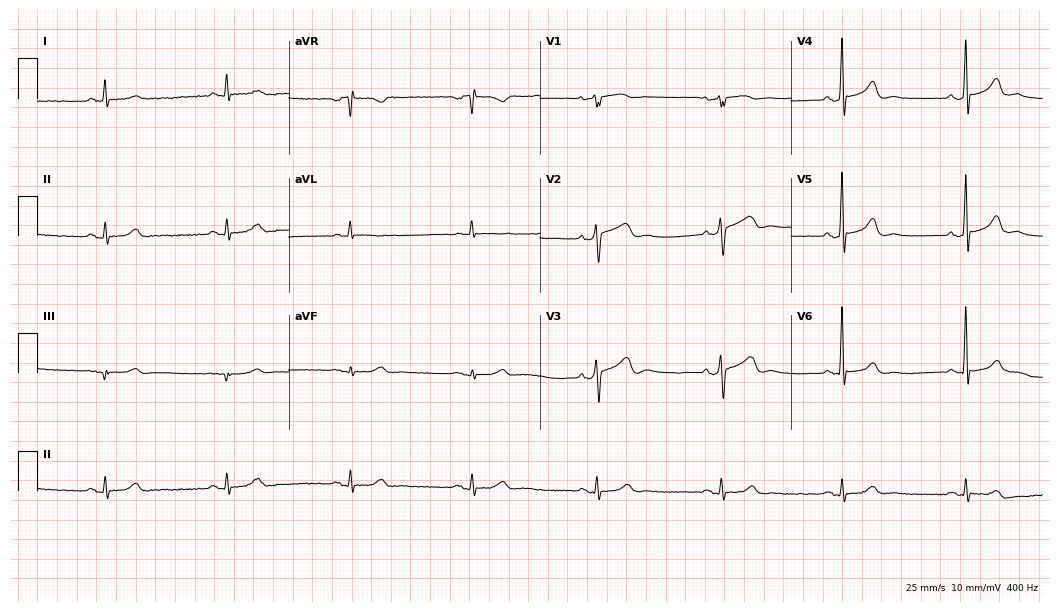
ECG (10.2-second recording at 400 Hz) — a man, 77 years old. Findings include sinus bradycardia (a sinus rate of 50 beats per minute or less).